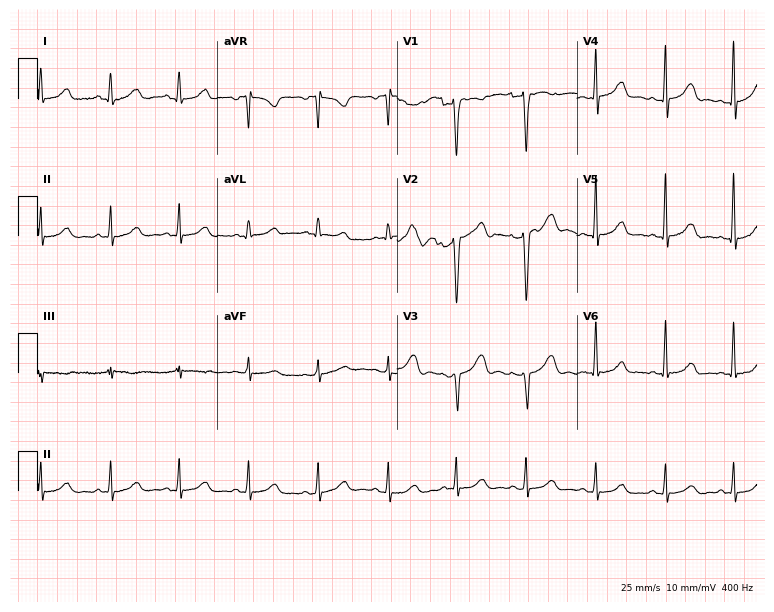
Electrocardiogram (7.3-second recording at 400 Hz), a 29-year-old female patient. Overall reading on record: normal ECG.